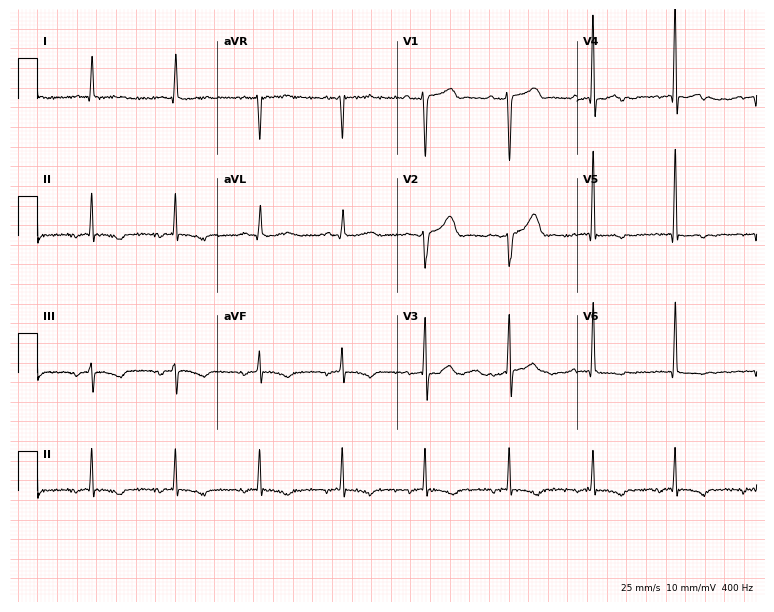
12-lead ECG from a 77-year-old male patient. No first-degree AV block, right bundle branch block (RBBB), left bundle branch block (LBBB), sinus bradycardia, atrial fibrillation (AF) or sinus tachycardia recorded for this tracing.